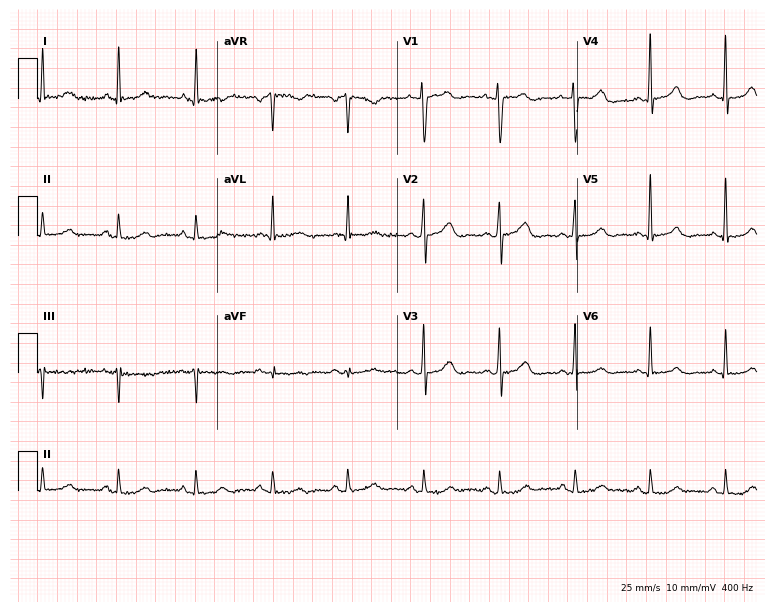
Resting 12-lead electrocardiogram. Patient: a 64-year-old female. None of these six findings is recorded: first-degree AV block, right bundle branch block, left bundle branch block, sinus bradycardia, atrial fibrillation, sinus tachycardia.